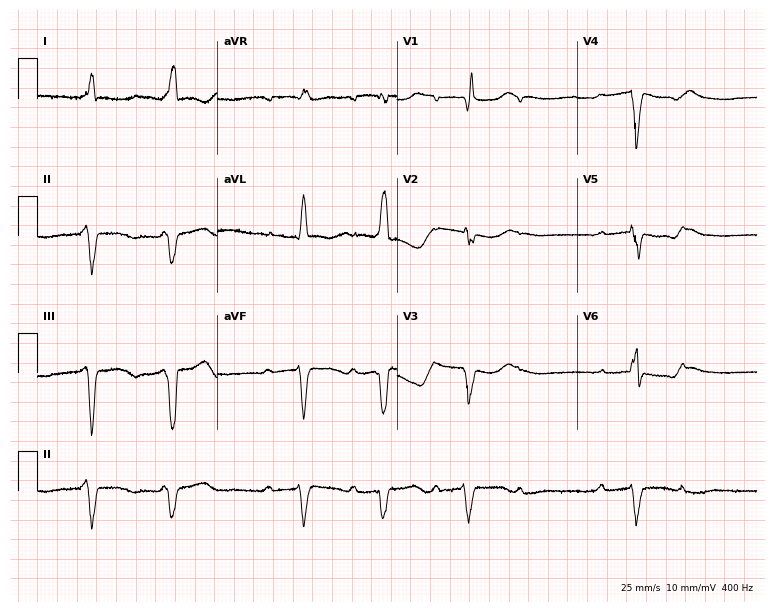
Resting 12-lead electrocardiogram (7.3-second recording at 400 Hz). Patient: an 86-year-old male. The tracing shows first-degree AV block, right bundle branch block (RBBB), atrial fibrillation (AF).